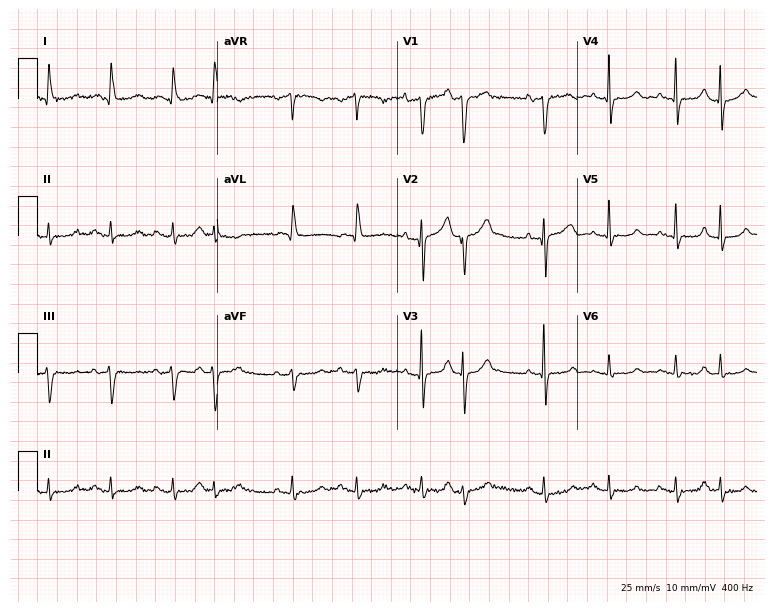
12-lead ECG from an 83-year-old male patient (7.3-second recording at 400 Hz). No first-degree AV block, right bundle branch block (RBBB), left bundle branch block (LBBB), sinus bradycardia, atrial fibrillation (AF) or sinus tachycardia recorded for this tracing. Findings outside these six are not listed.